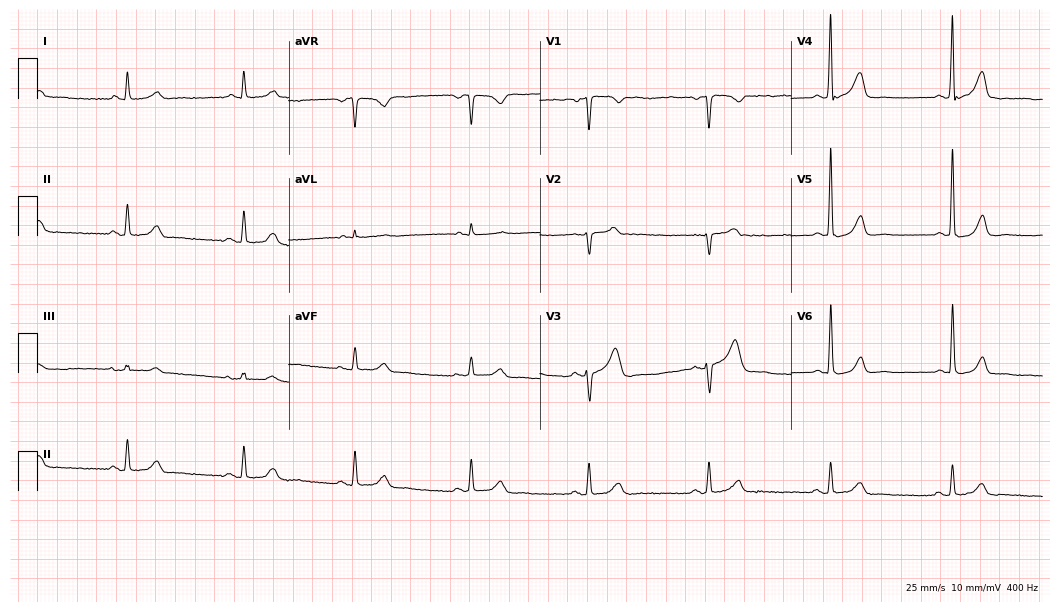
ECG — a 55-year-old female. Findings include sinus bradycardia (a sinus rate of 50 beats per minute or less).